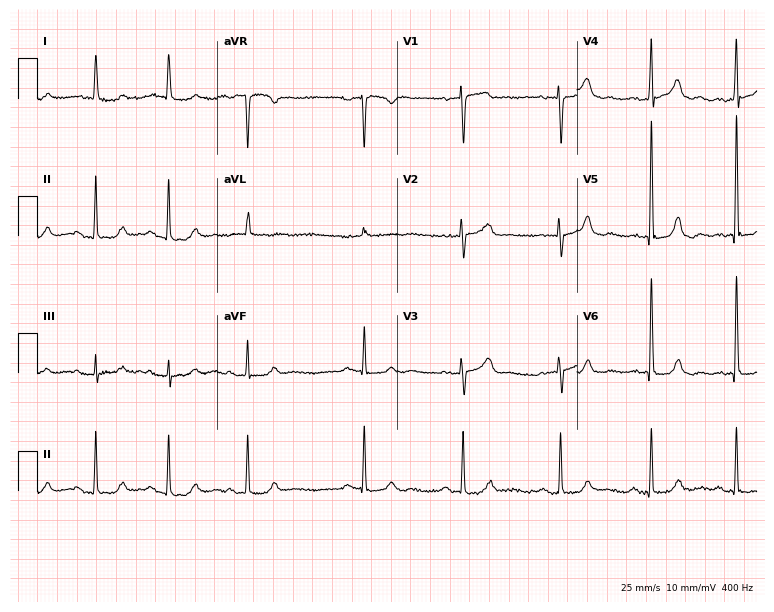
Electrocardiogram (7.3-second recording at 400 Hz), an 82-year-old female patient. Of the six screened findings (first-degree AV block, right bundle branch block (RBBB), left bundle branch block (LBBB), sinus bradycardia, atrial fibrillation (AF), sinus tachycardia), none is recorded. Only these six findings were labelled.